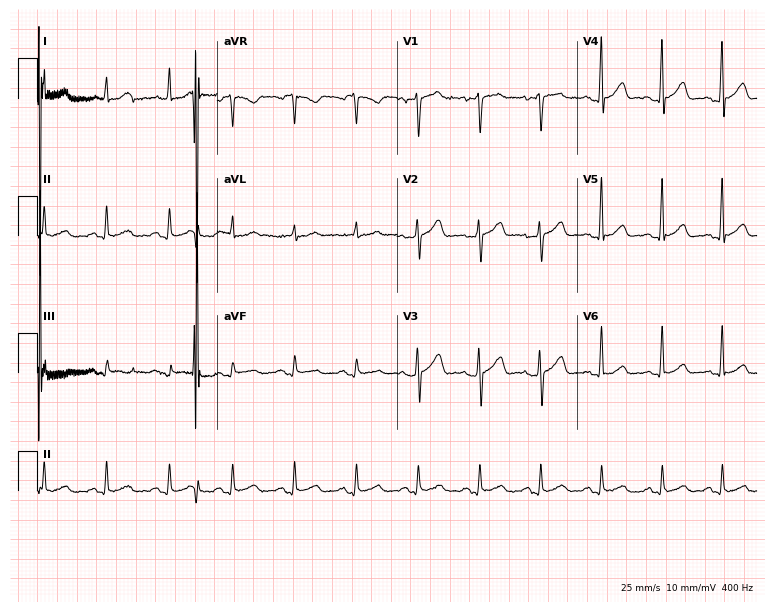
Resting 12-lead electrocardiogram. Patient: a man, 59 years old. Read as a normal ECG.